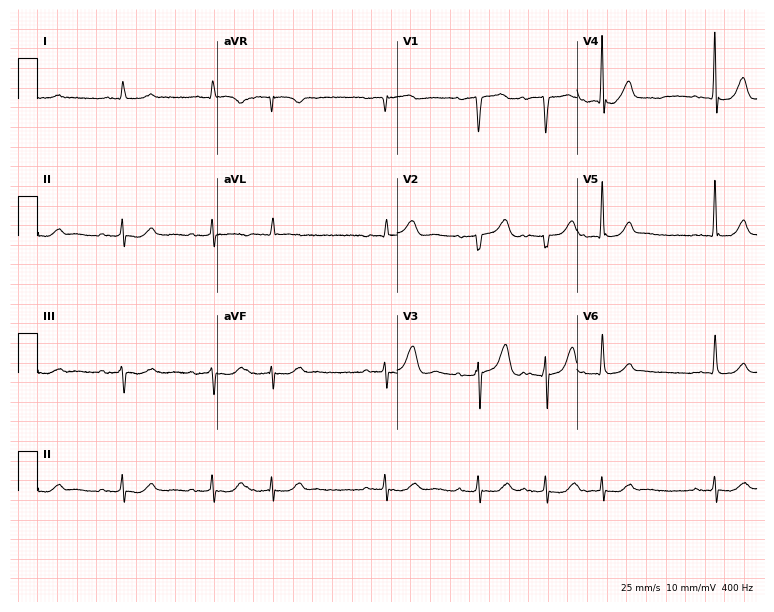
ECG — a male, 84 years old. Screened for six findings — first-degree AV block, right bundle branch block, left bundle branch block, sinus bradycardia, atrial fibrillation, sinus tachycardia — none is recorded. Findings outside these six are not listed.